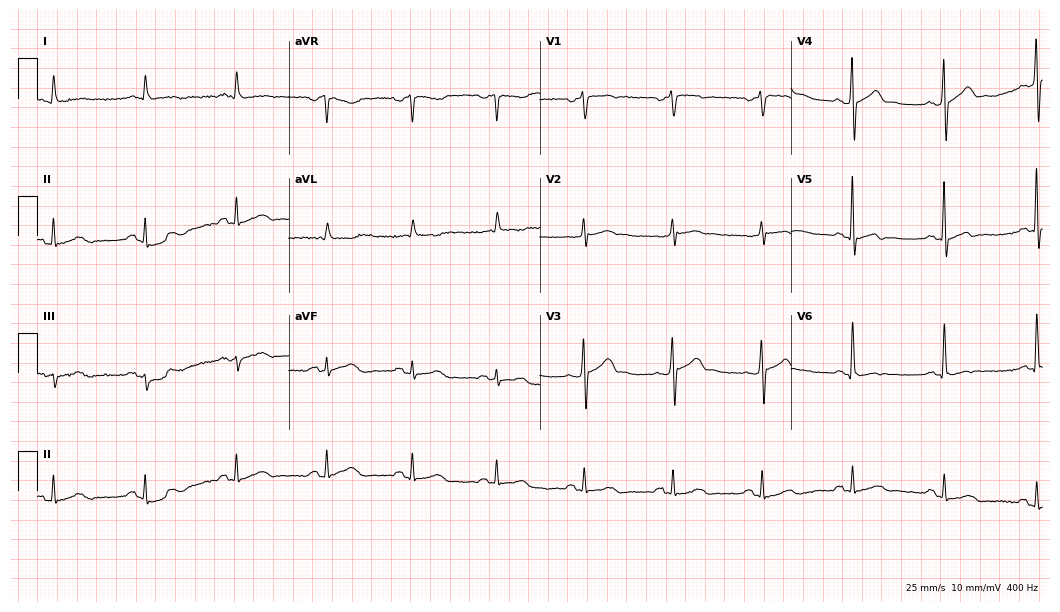
12-lead ECG from a 67-year-old male patient. Screened for six findings — first-degree AV block, right bundle branch block (RBBB), left bundle branch block (LBBB), sinus bradycardia, atrial fibrillation (AF), sinus tachycardia — none is recorded. Only these six findings were labelled.